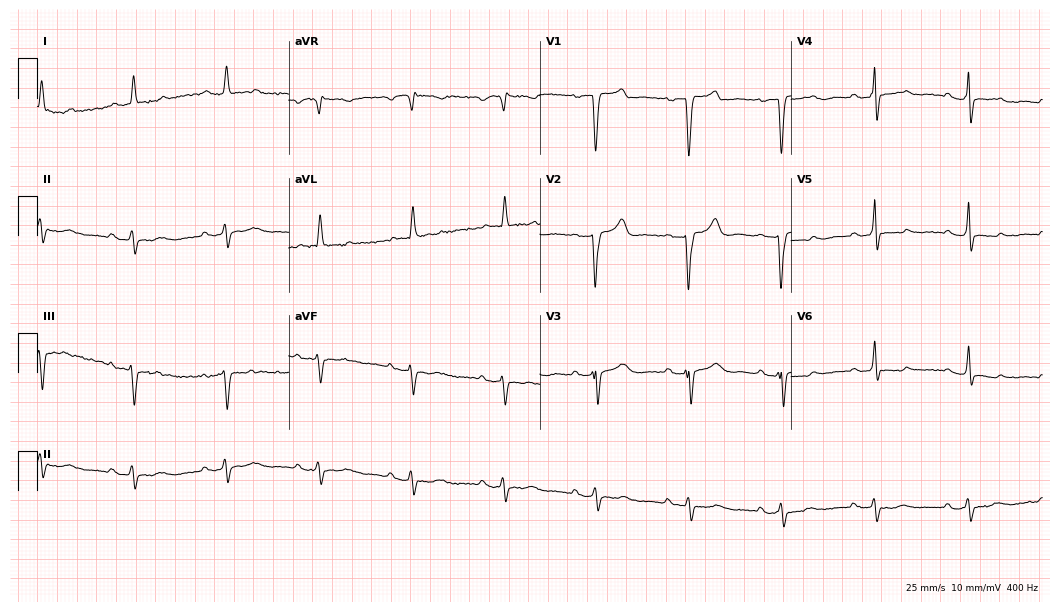
12-lead ECG from a 75-year-old man. Findings include first-degree AV block.